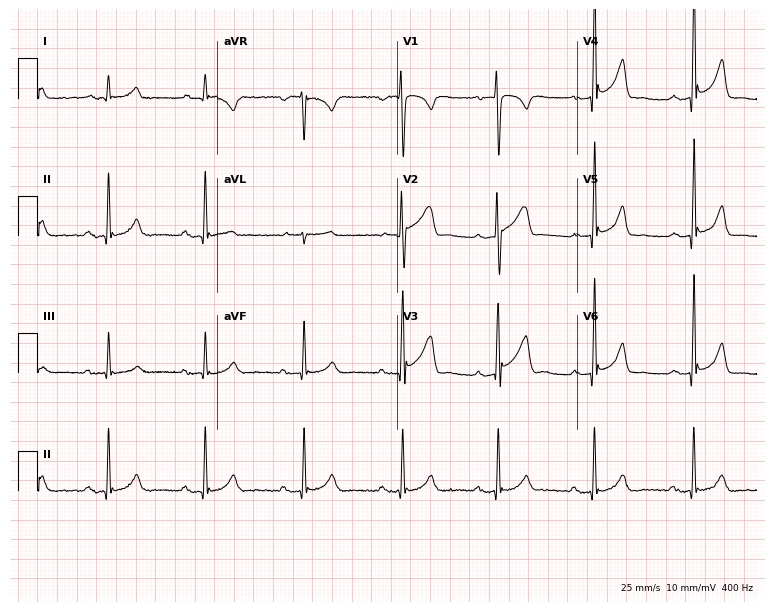
12-lead ECG from a 51-year-old male patient. No first-degree AV block, right bundle branch block (RBBB), left bundle branch block (LBBB), sinus bradycardia, atrial fibrillation (AF) or sinus tachycardia recorded for this tracing.